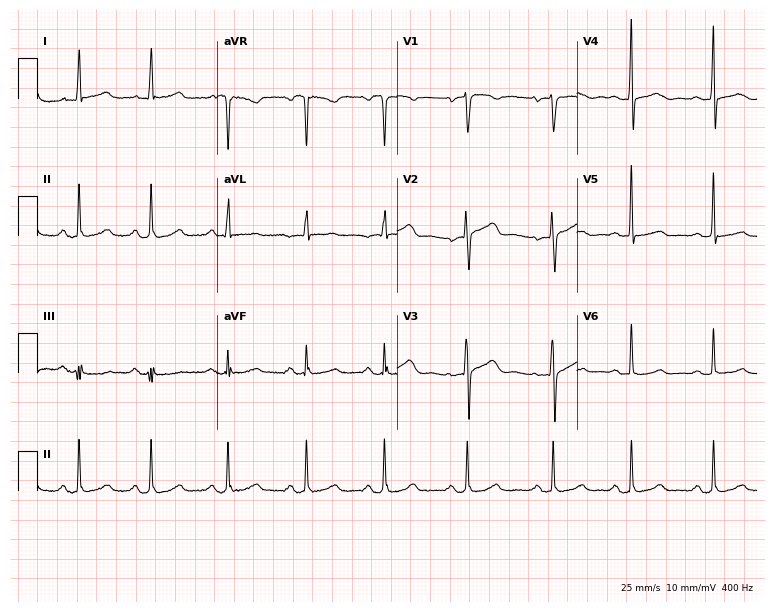
12-lead ECG (7.3-second recording at 400 Hz) from a 61-year-old female. Labelled as a normal ECG.